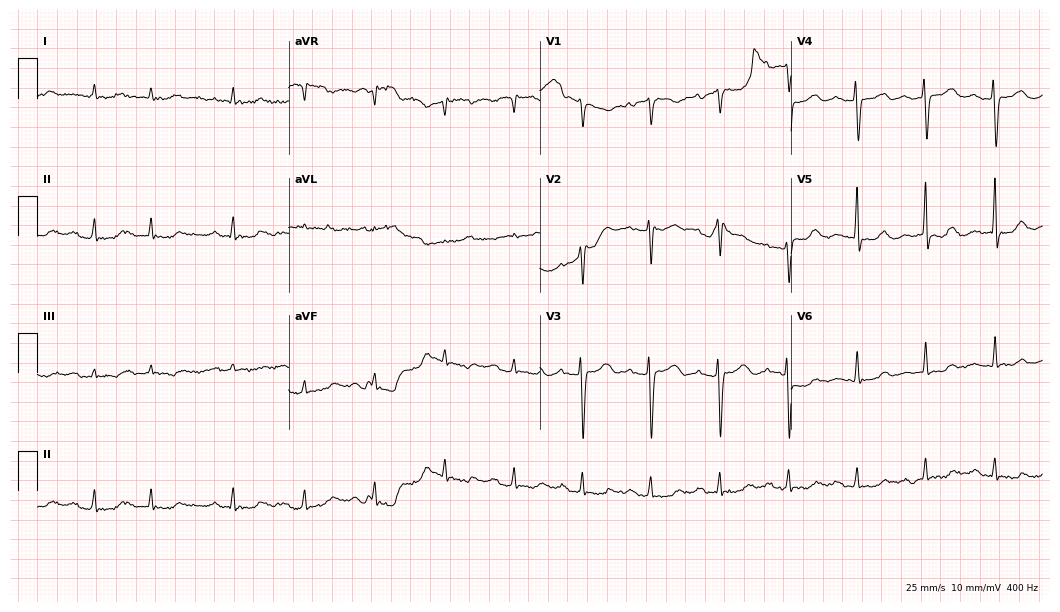
ECG (10.2-second recording at 400 Hz) — a female, 73 years old. Screened for six findings — first-degree AV block, right bundle branch block, left bundle branch block, sinus bradycardia, atrial fibrillation, sinus tachycardia — none is recorded. Only these six findings were labelled.